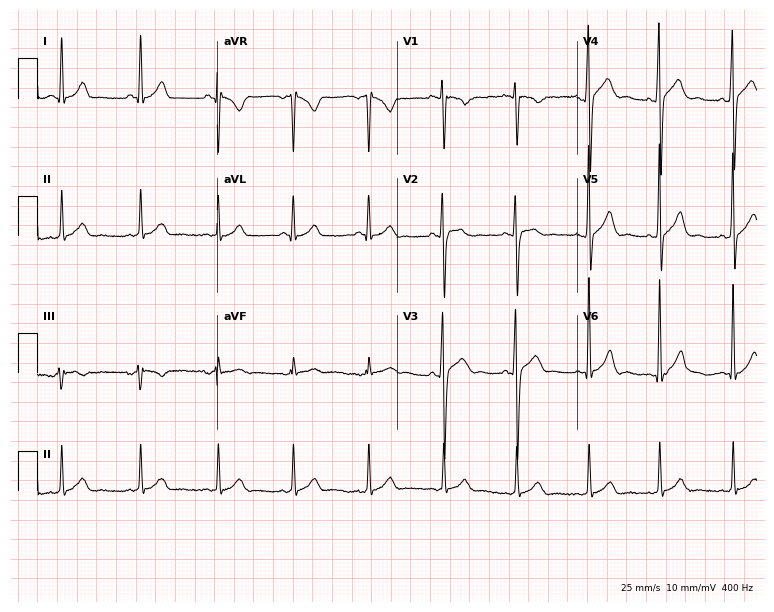
ECG (7.3-second recording at 400 Hz) — a 21-year-old male. Labelled as a normal ECG.